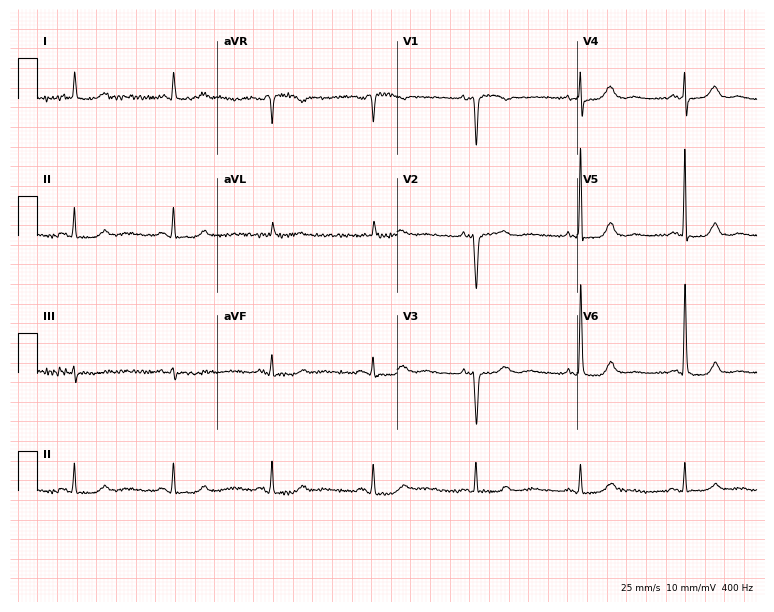
12-lead ECG from a woman, 79 years old. Labelled as a normal ECG.